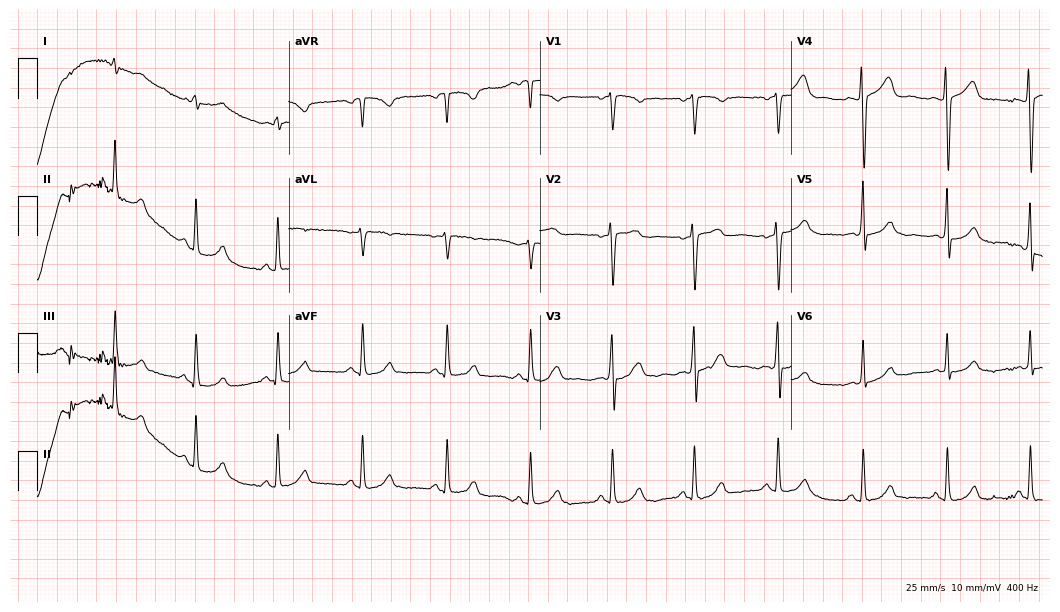
Resting 12-lead electrocardiogram. Patient: a 53-year-old woman. Read as a normal ECG.